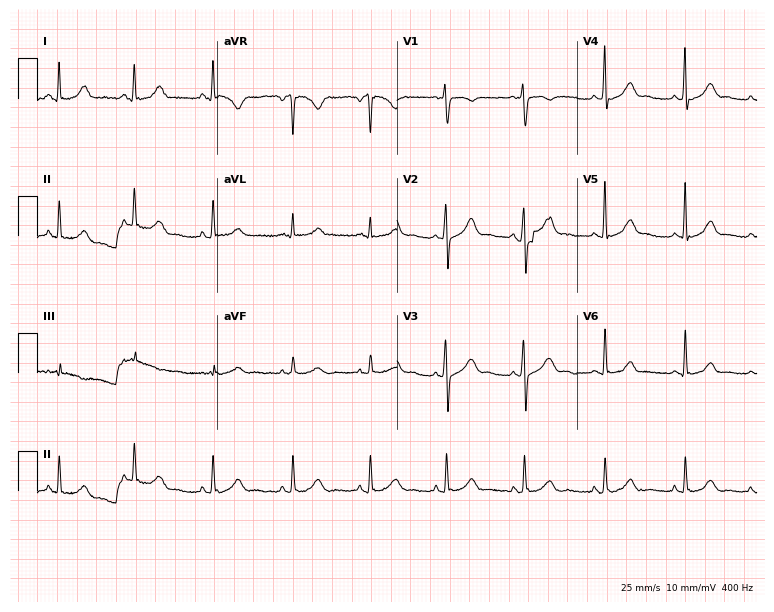
12-lead ECG from a female, 30 years old (7.3-second recording at 400 Hz). Recorded interpretation: within normal limits.